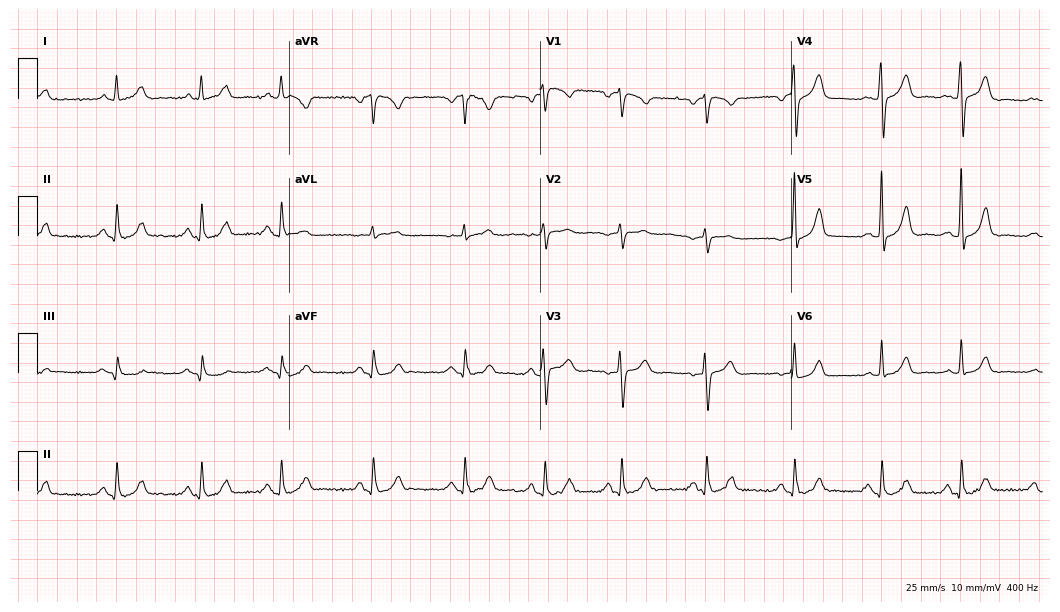
Standard 12-lead ECG recorded from a 53-year-old woman (10.2-second recording at 400 Hz). Read as a normal ECG.